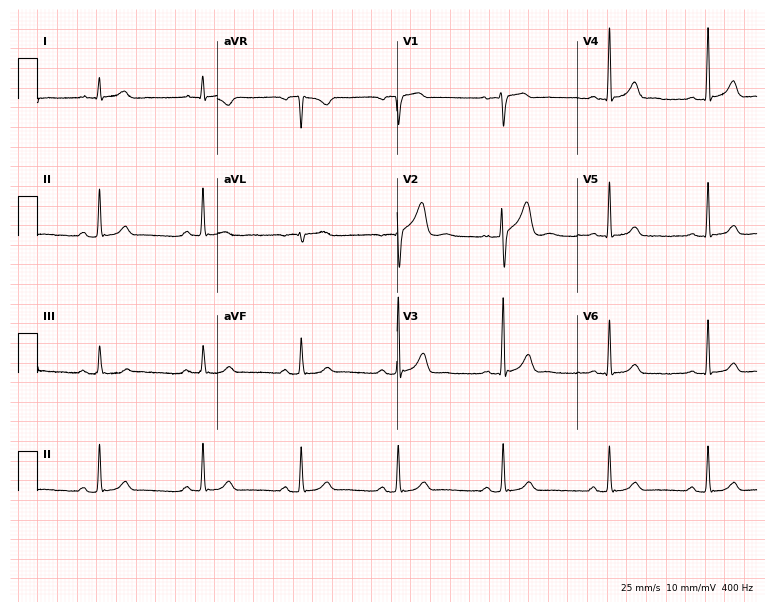
Electrocardiogram (7.3-second recording at 400 Hz), a 32-year-old man. Overall reading on record: normal ECG.